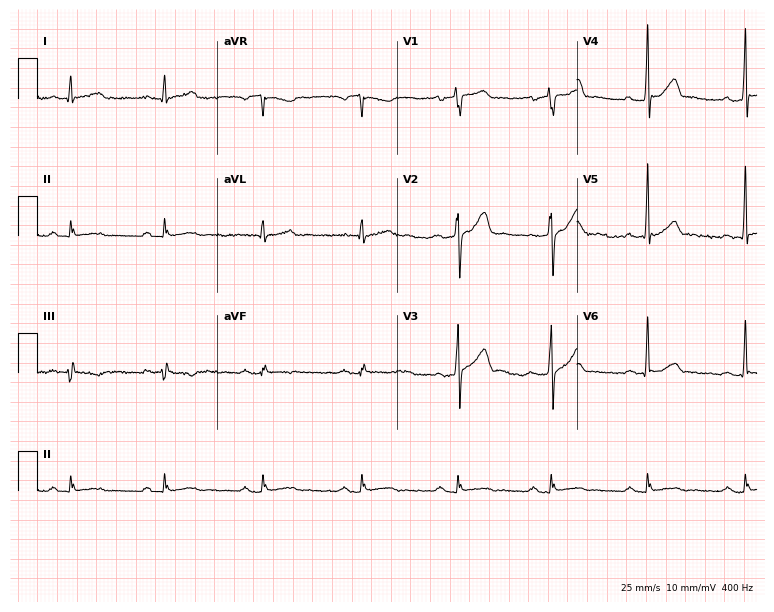
Resting 12-lead electrocardiogram (7.3-second recording at 400 Hz). Patient: a 34-year-old man. Read as a normal ECG.